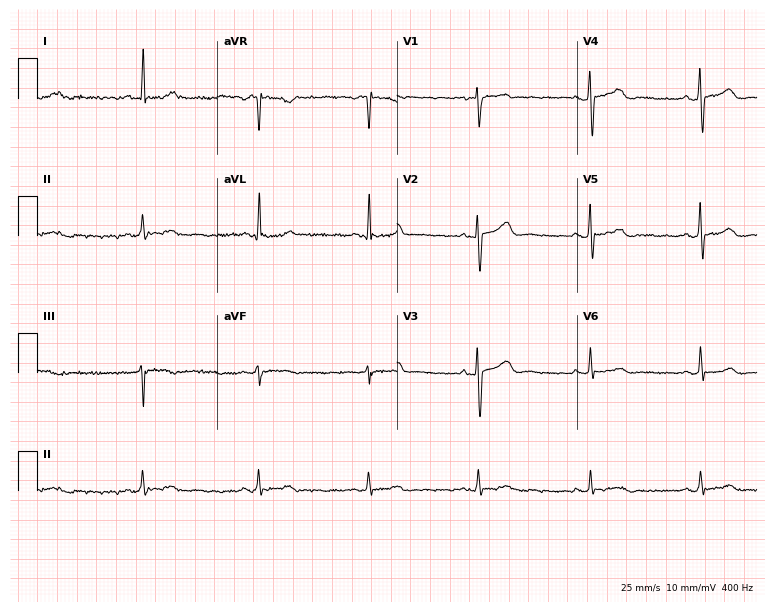
12-lead ECG from a female patient, 58 years old. Labelled as a normal ECG.